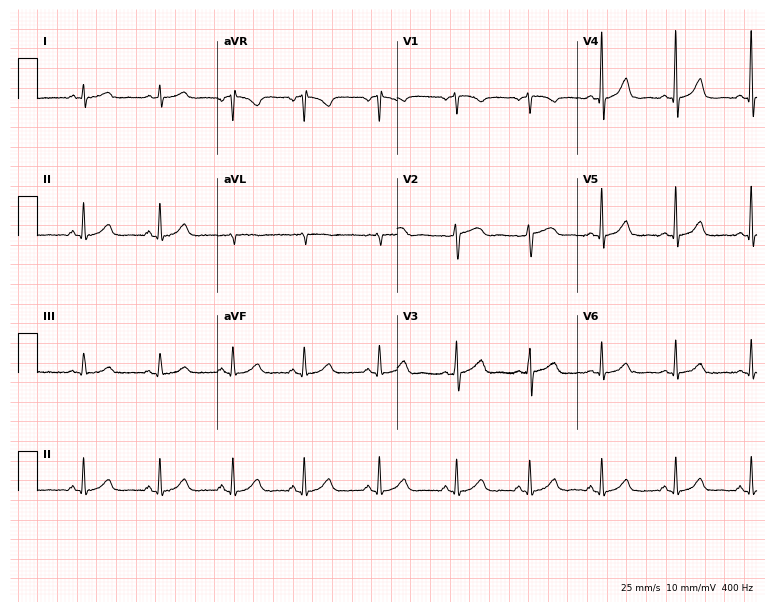
Resting 12-lead electrocardiogram (7.3-second recording at 400 Hz). Patient: a 51-year-old female. Read as a normal ECG.